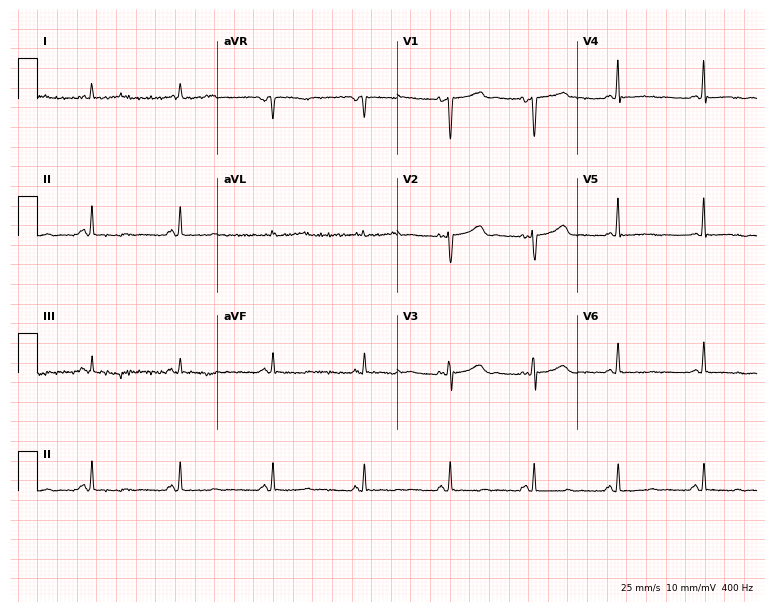
12-lead ECG (7.3-second recording at 400 Hz) from a 48-year-old female patient. Labelled as a normal ECG.